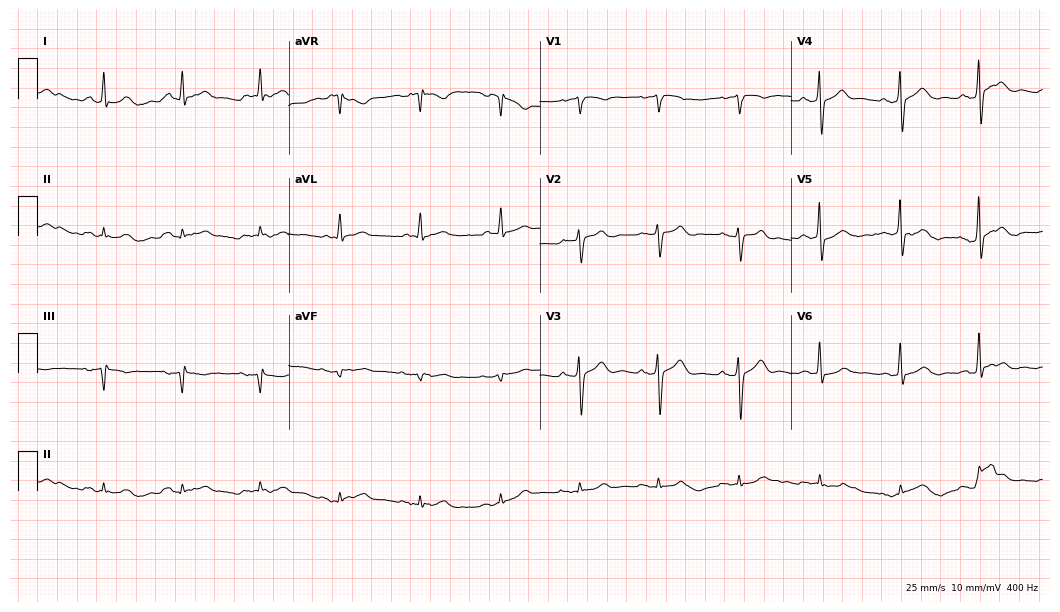
Resting 12-lead electrocardiogram. Patient: a male, 57 years old. Read as a normal ECG.